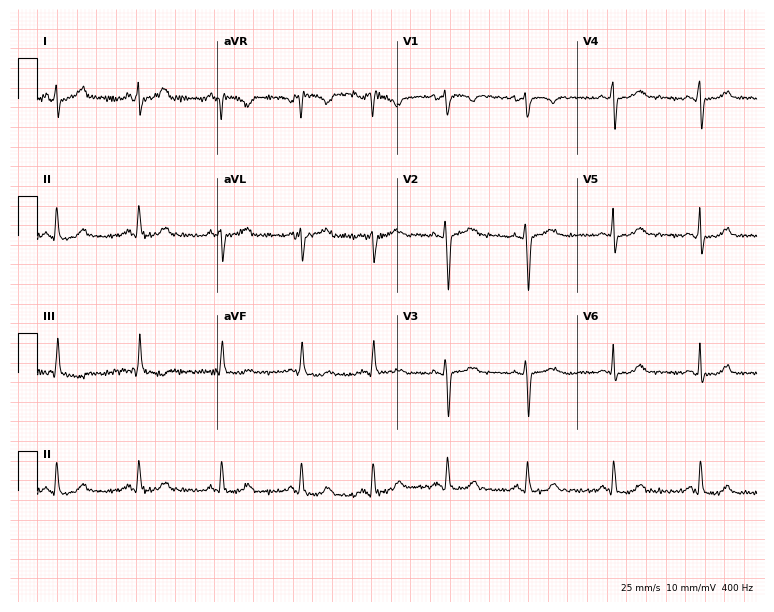
ECG (7.3-second recording at 400 Hz) — a 26-year-old woman. Labelled as a normal ECG.